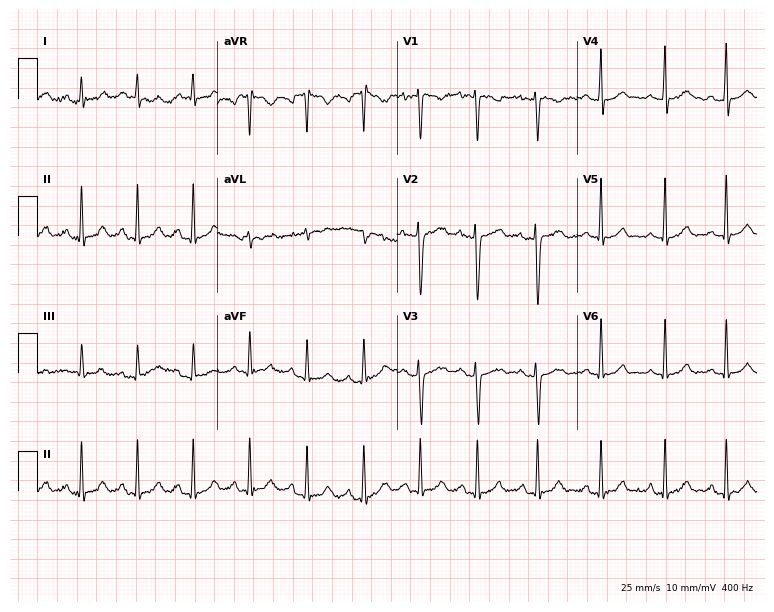
Resting 12-lead electrocardiogram. Patient: a 23-year-old female. Read as a normal ECG.